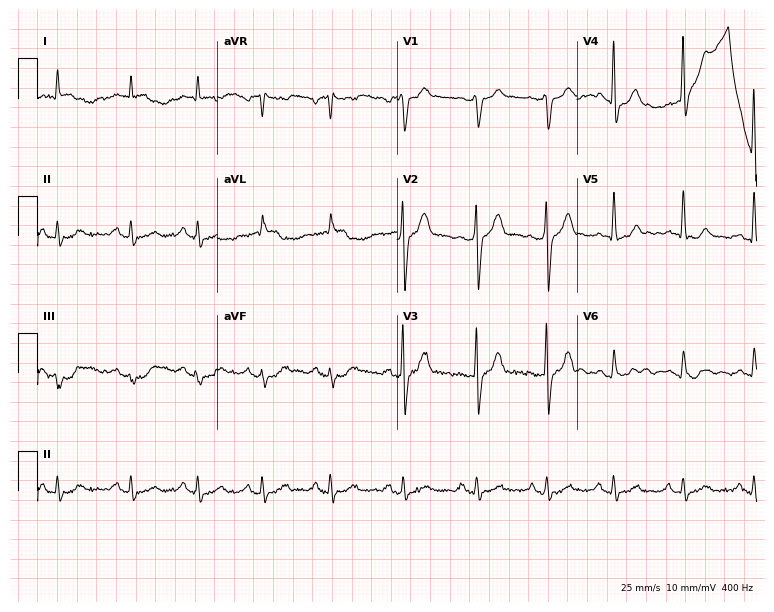
ECG — a man, 58 years old. Screened for six findings — first-degree AV block, right bundle branch block (RBBB), left bundle branch block (LBBB), sinus bradycardia, atrial fibrillation (AF), sinus tachycardia — none is recorded. Other findings, if any, are not listed.